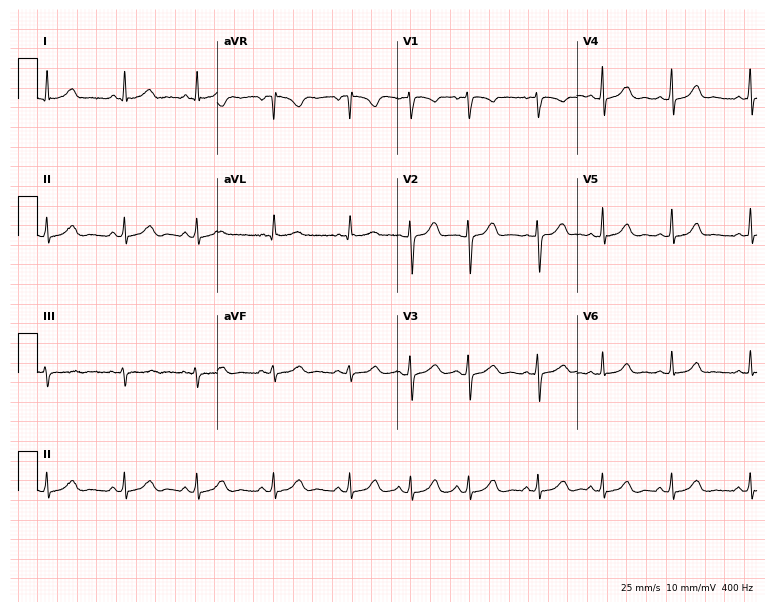
12-lead ECG from a 23-year-old female (7.3-second recording at 400 Hz). No first-degree AV block, right bundle branch block, left bundle branch block, sinus bradycardia, atrial fibrillation or sinus tachycardia recorded for this tracing.